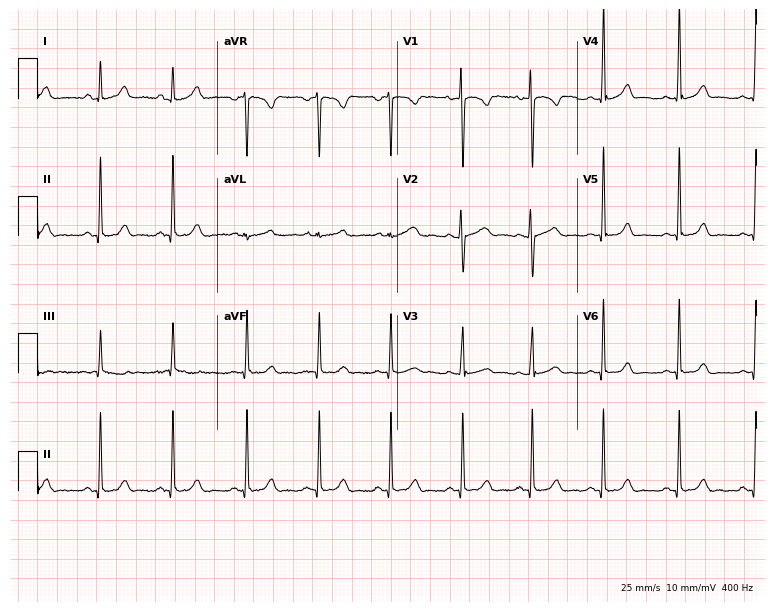
ECG — a female, 17 years old. Labelled as a normal ECG.